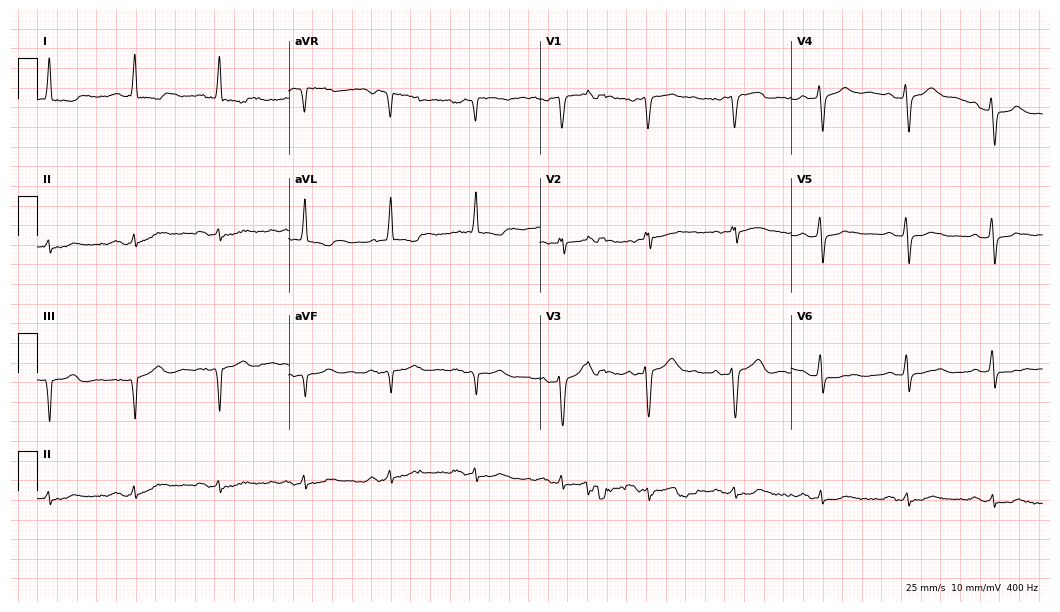
12-lead ECG from a 70-year-old male. No first-degree AV block, right bundle branch block (RBBB), left bundle branch block (LBBB), sinus bradycardia, atrial fibrillation (AF) or sinus tachycardia recorded for this tracing. Only these six findings were labelled.